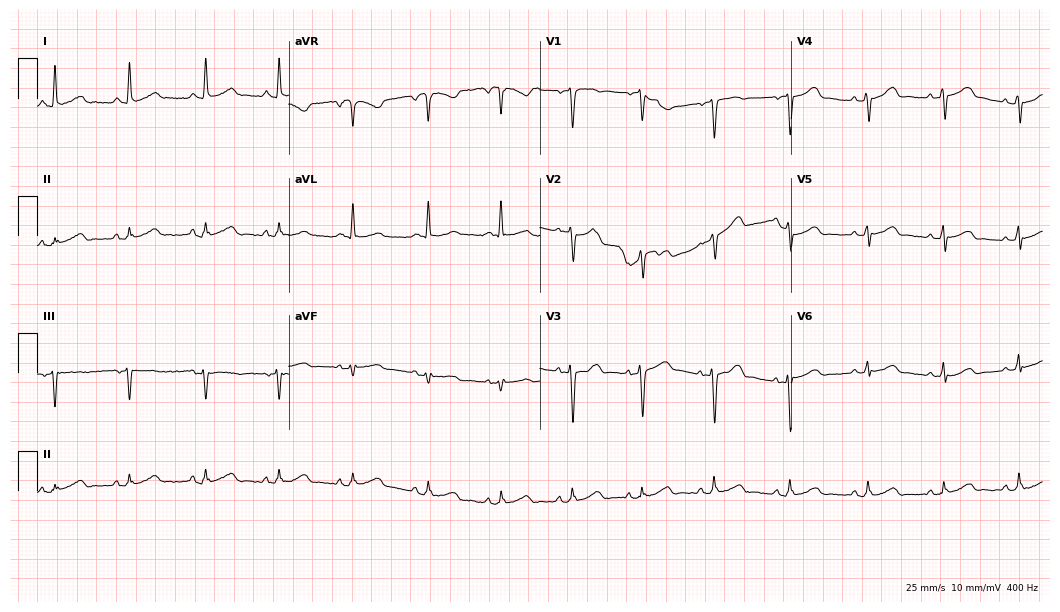
Electrocardiogram (10.2-second recording at 400 Hz), a female, 47 years old. Overall reading on record: normal ECG.